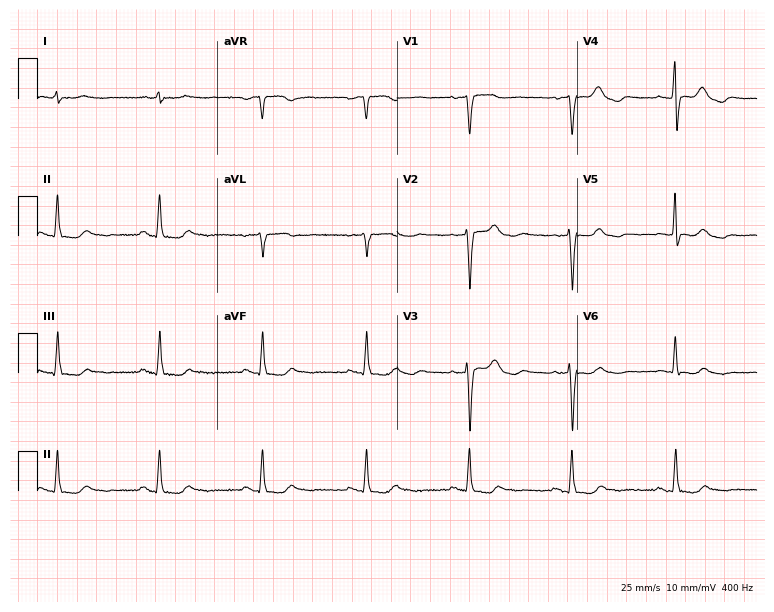
ECG — a 76-year-old female. Labelled as a normal ECG.